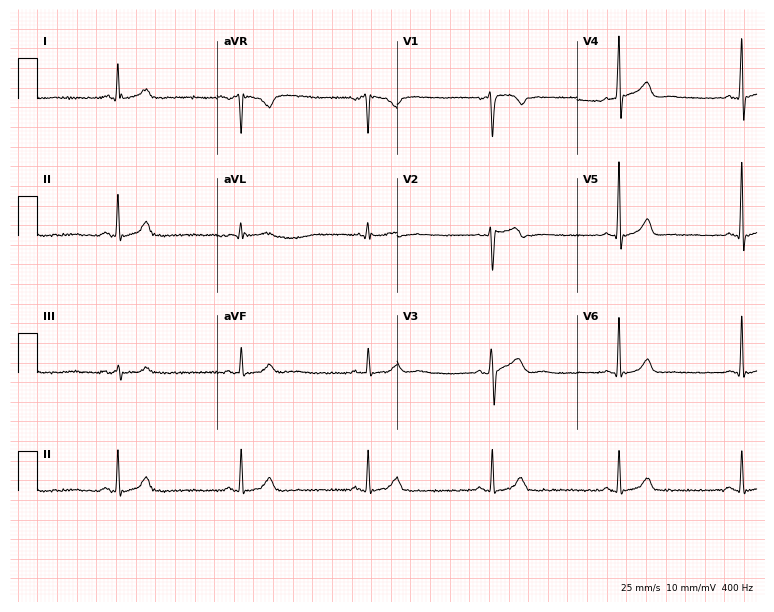
Resting 12-lead electrocardiogram. Patient: a male, 42 years old. The tracing shows sinus bradycardia (a sinus rate of 50 beats per minute or less).